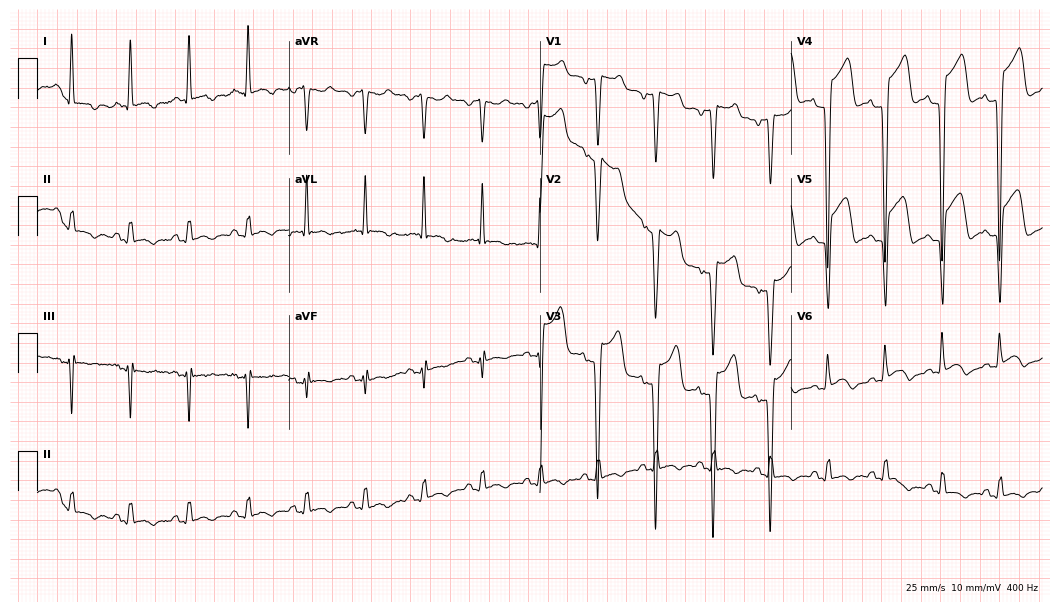
12-lead ECG from a female, 61 years old. No first-degree AV block, right bundle branch block (RBBB), left bundle branch block (LBBB), sinus bradycardia, atrial fibrillation (AF) or sinus tachycardia recorded for this tracing.